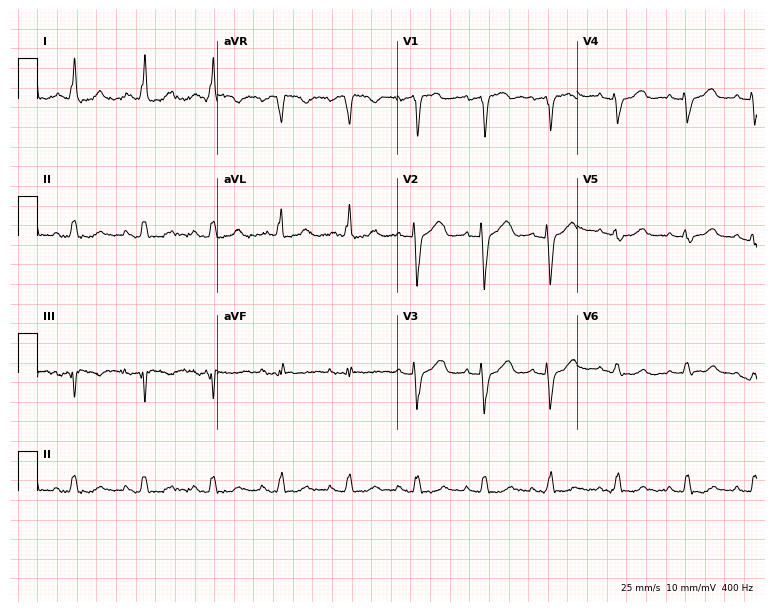
12-lead ECG from a female, 85 years old. Screened for six findings — first-degree AV block, right bundle branch block, left bundle branch block, sinus bradycardia, atrial fibrillation, sinus tachycardia — none is recorded.